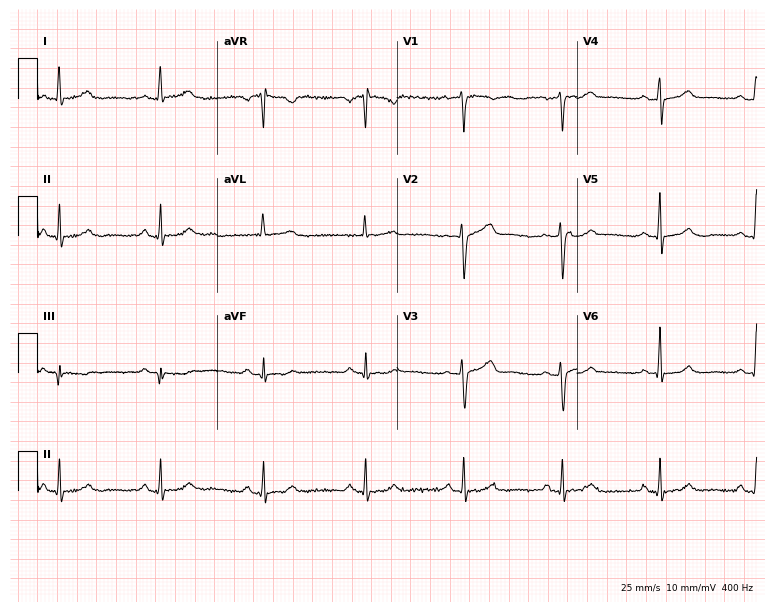
Standard 12-lead ECG recorded from a 54-year-old female patient (7.3-second recording at 400 Hz). Read as a normal ECG.